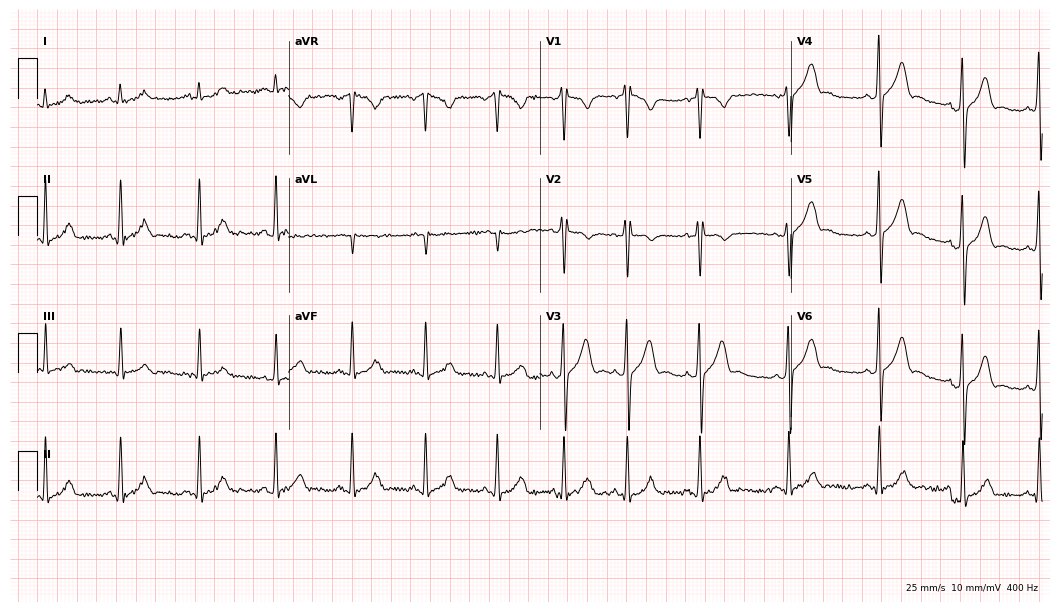
12-lead ECG from a male patient, 17 years old (10.2-second recording at 400 Hz). Recorded interpretation: within normal limits.